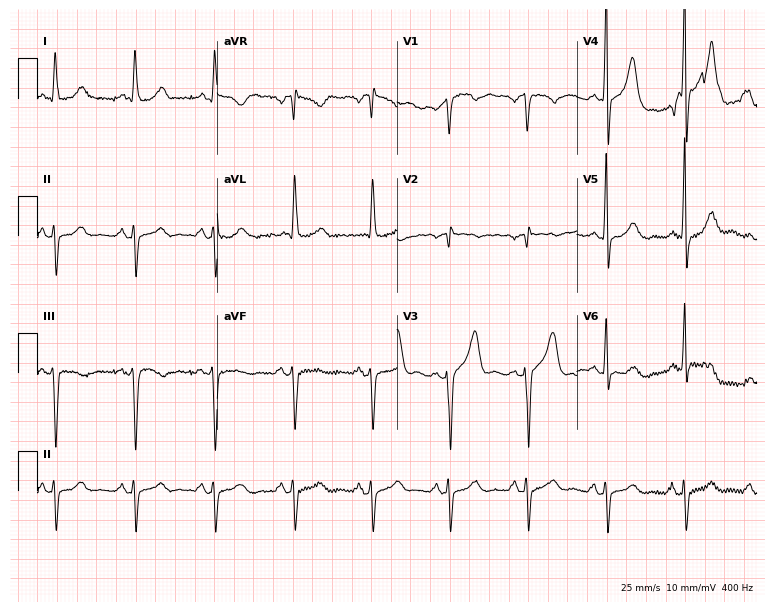
Resting 12-lead electrocardiogram. Patient: a 73-year-old man. None of these six findings is recorded: first-degree AV block, right bundle branch block, left bundle branch block, sinus bradycardia, atrial fibrillation, sinus tachycardia.